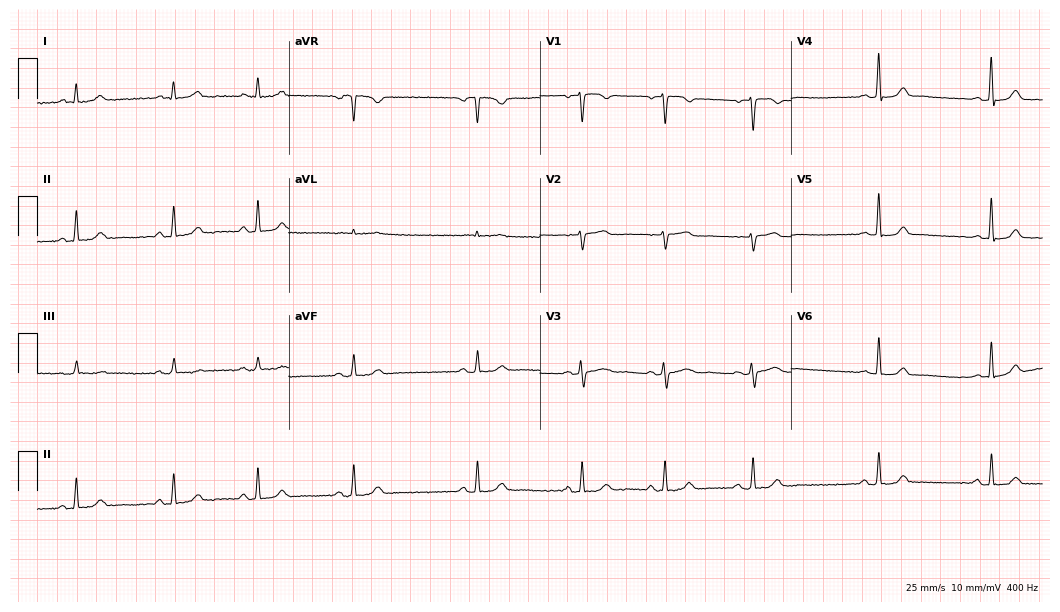
Resting 12-lead electrocardiogram (10.2-second recording at 400 Hz). Patient: a 44-year-old female. None of these six findings is recorded: first-degree AV block, right bundle branch block, left bundle branch block, sinus bradycardia, atrial fibrillation, sinus tachycardia. Findings outside these six are not listed.